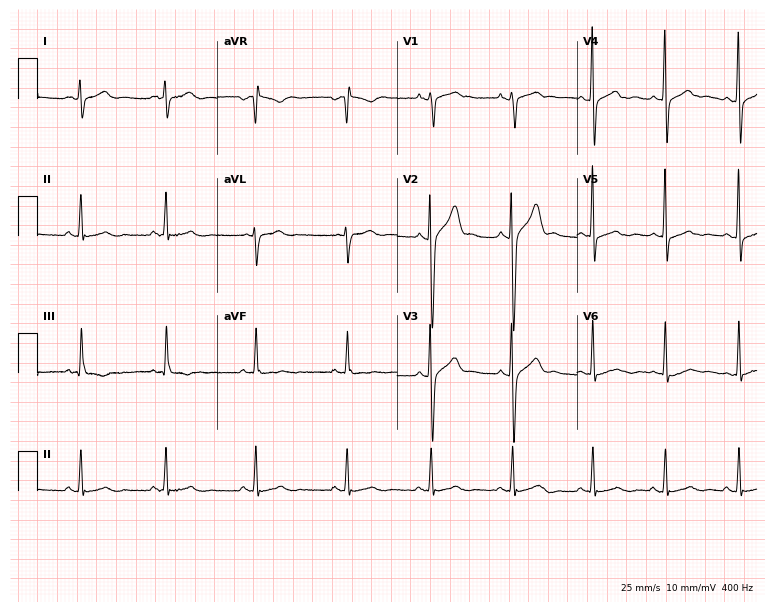
Resting 12-lead electrocardiogram (7.3-second recording at 400 Hz). Patient: a 19-year-old male. Read as a normal ECG.